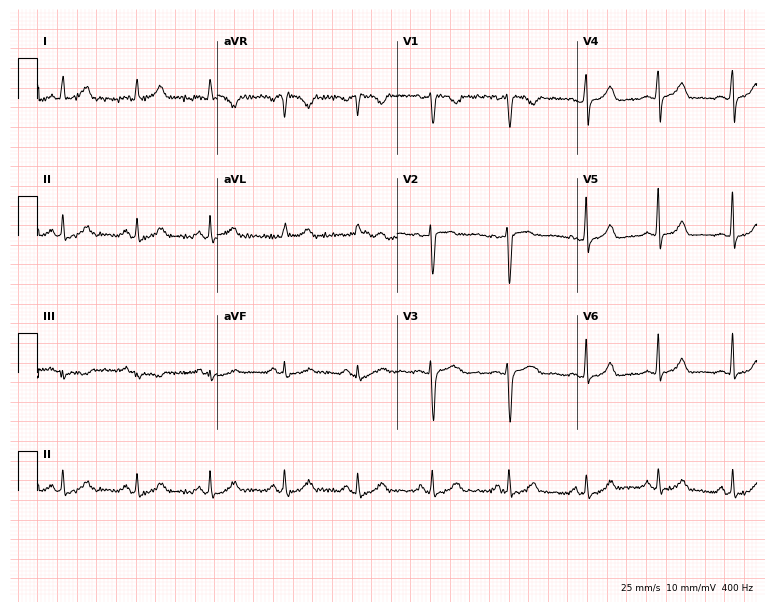
Standard 12-lead ECG recorded from a 46-year-old female patient. Read as a normal ECG.